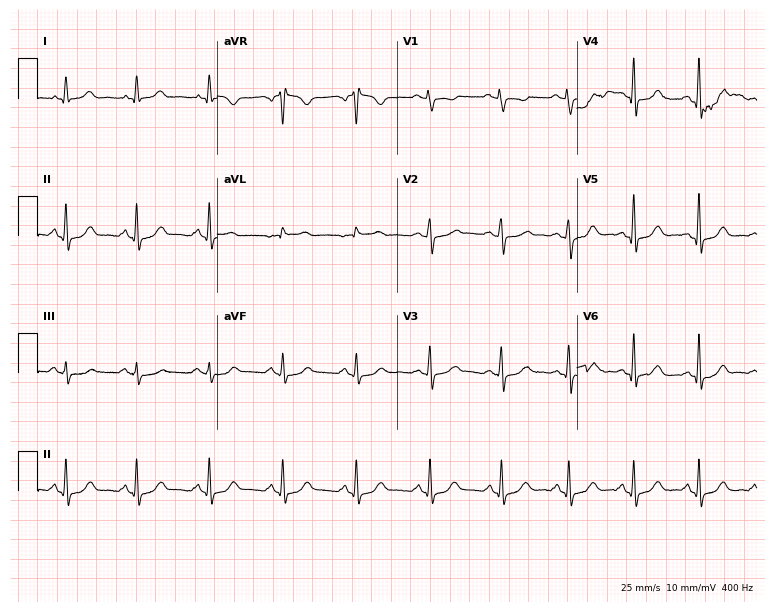
12-lead ECG from a female patient, 46 years old. Recorded interpretation: within normal limits.